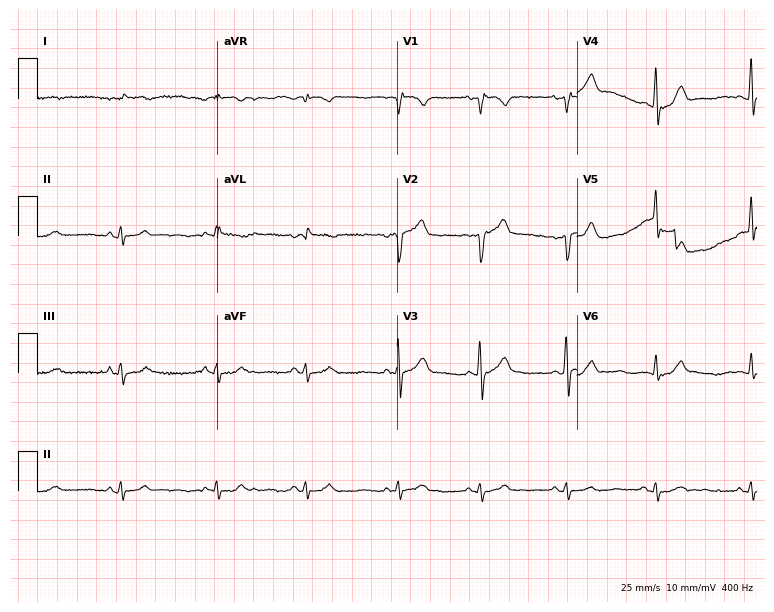
ECG (7.3-second recording at 400 Hz) — a 44-year-old female. Labelled as a normal ECG.